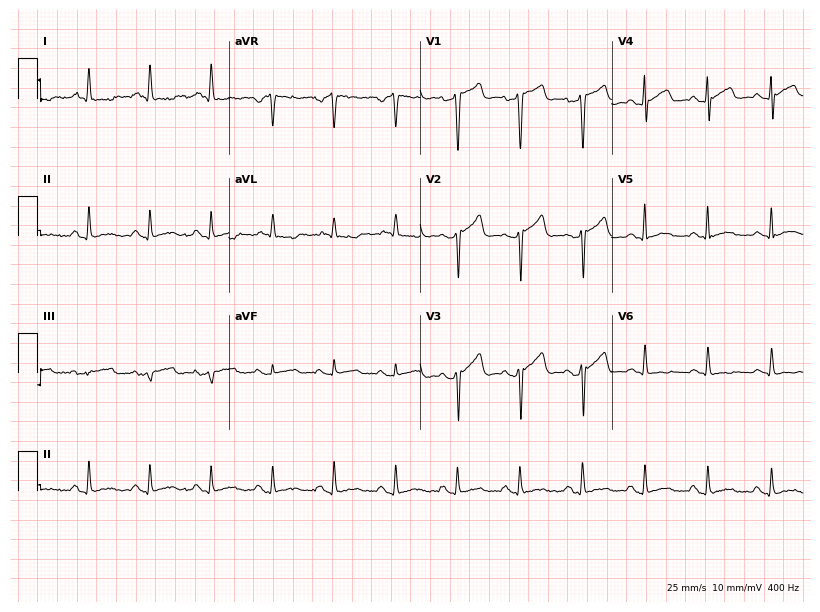
12-lead ECG from a 61-year-old male (7.8-second recording at 400 Hz). No first-degree AV block, right bundle branch block, left bundle branch block, sinus bradycardia, atrial fibrillation or sinus tachycardia recorded for this tracing.